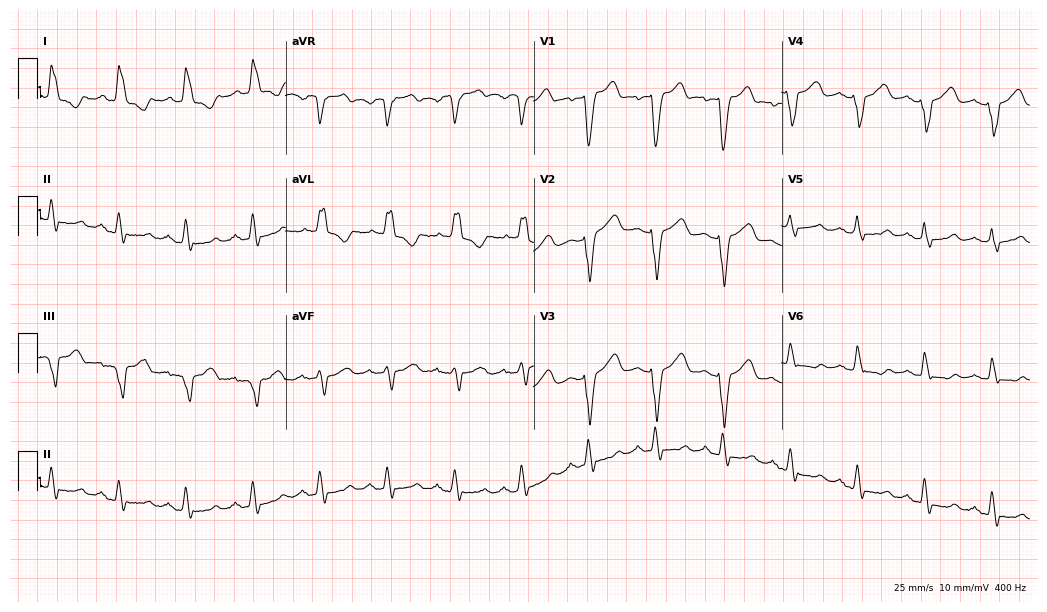
Electrocardiogram, a 72-year-old woman. Interpretation includes left bundle branch block.